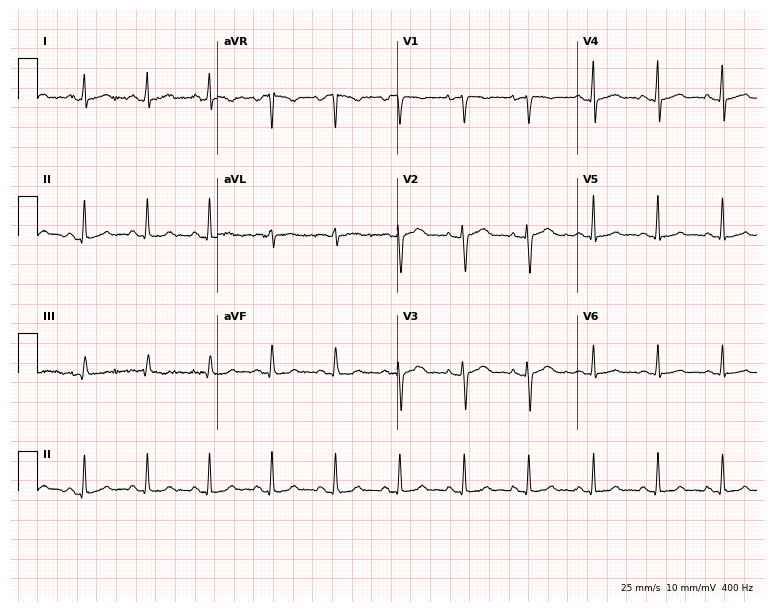
12-lead ECG from a female, 36 years old. Labelled as a normal ECG.